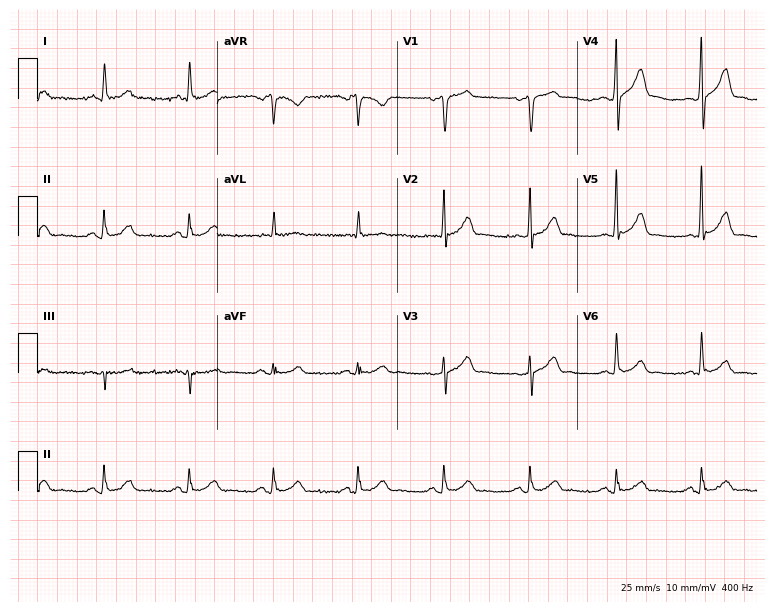
Resting 12-lead electrocardiogram (7.3-second recording at 400 Hz). Patient: a 60-year-old male. Read as a normal ECG.